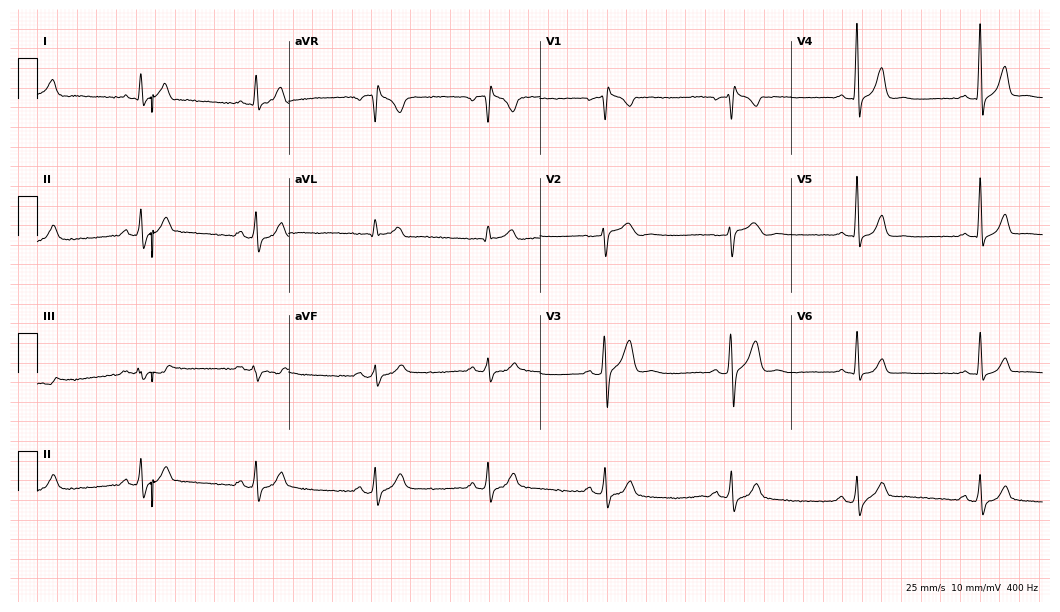
Electrocardiogram (10.2-second recording at 400 Hz), a male patient, 40 years old. Of the six screened findings (first-degree AV block, right bundle branch block, left bundle branch block, sinus bradycardia, atrial fibrillation, sinus tachycardia), none is recorded. Only these six findings were labelled.